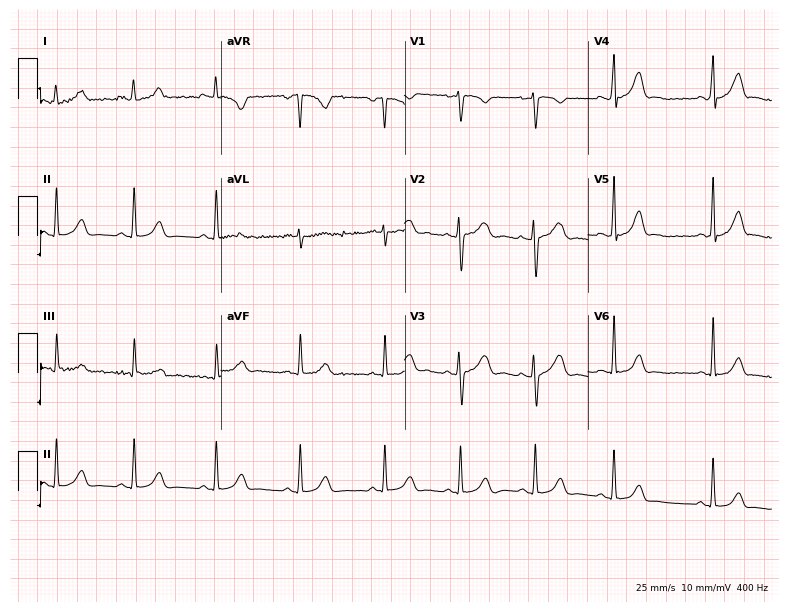
ECG (7.5-second recording at 400 Hz) — a female patient, 25 years old. Screened for six findings — first-degree AV block, right bundle branch block, left bundle branch block, sinus bradycardia, atrial fibrillation, sinus tachycardia — none is recorded. Other findings, if any, are not listed.